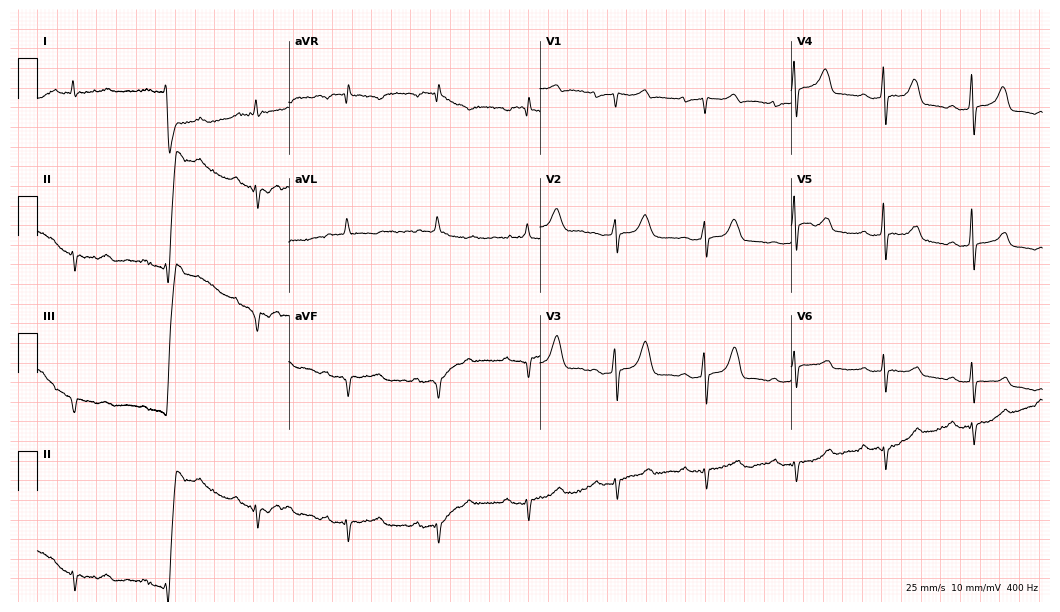
ECG — a male patient, 66 years old. Screened for six findings — first-degree AV block, right bundle branch block, left bundle branch block, sinus bradycardia, atrial fibrillation, sinus tachycardia — none is recorded.